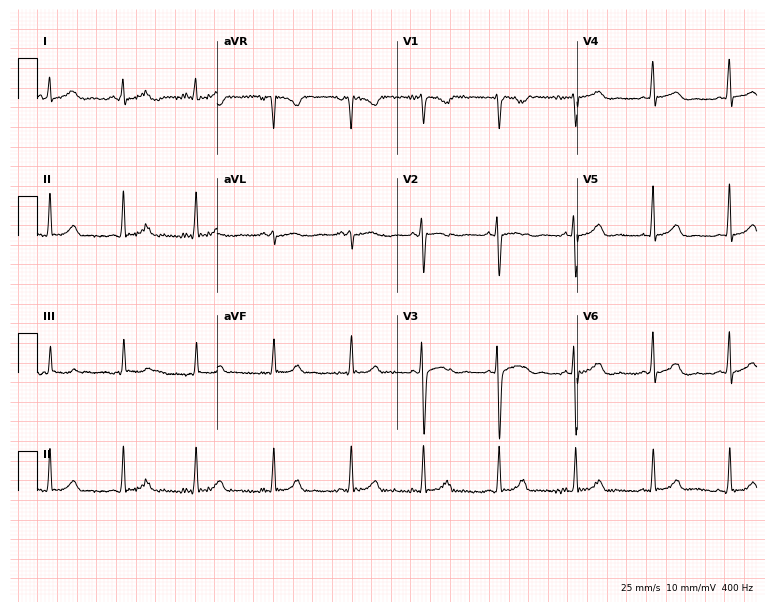
Resting 12-lead electrocardiogram. Patient: a woman, 18 years old. None of these six findings is recorded: first-degree AV block, right bundle branch block, left bundle branch block, sinus bradycardia, atrial fibrillation, sinus tachycardia. Only these six findings were labelled.